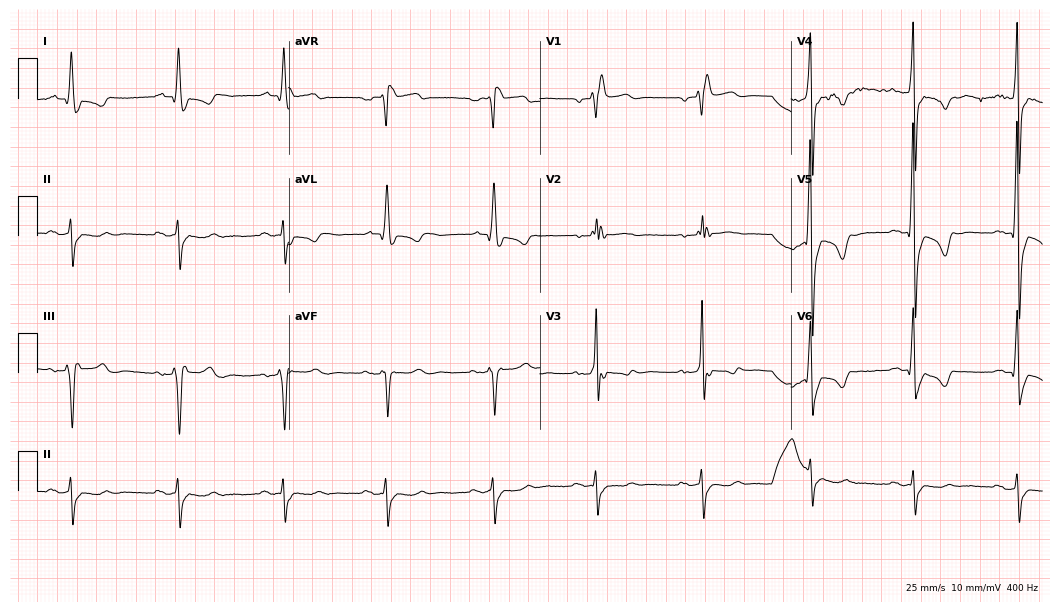
12-lead ECG from a male patient, 82 years old. Findings include right bundle branch block.